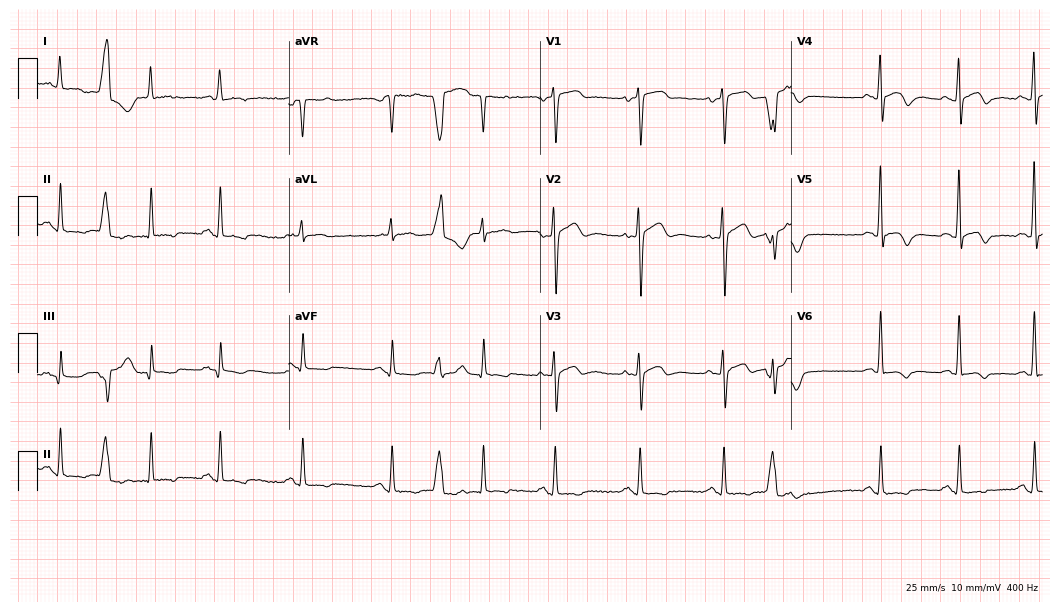
12-lead ECG from a 68-year-old female. No first-degree AV block, right bundle branch block, left bundle branch block, sinus bradycardia, atrial fibrillation or sinus tachycardia recorded for this tracing.